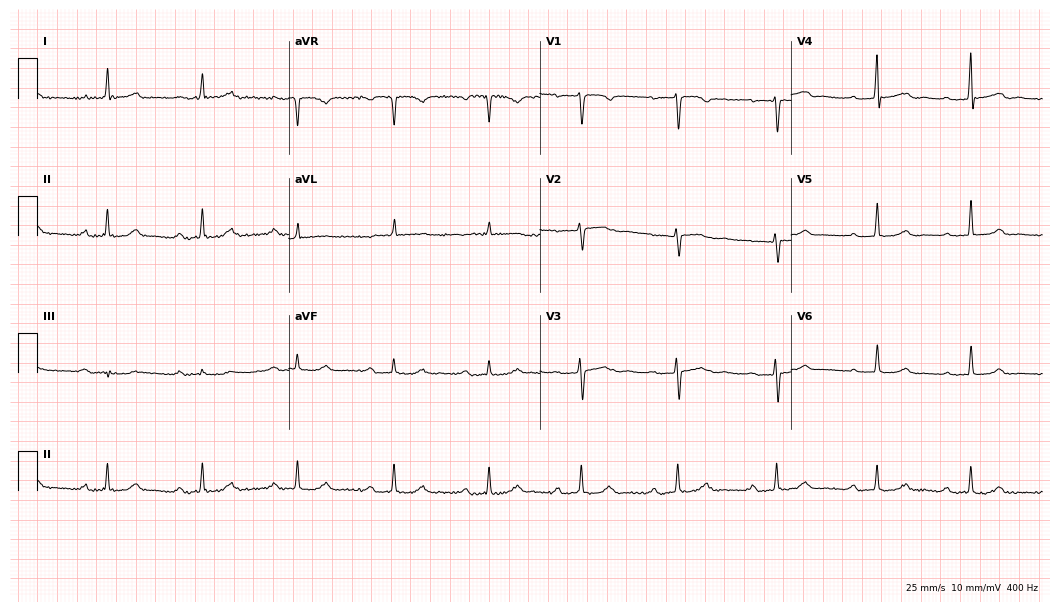
Standard 12-lead ECG recorded from a female, 63 years old. Read as a normal ECG.